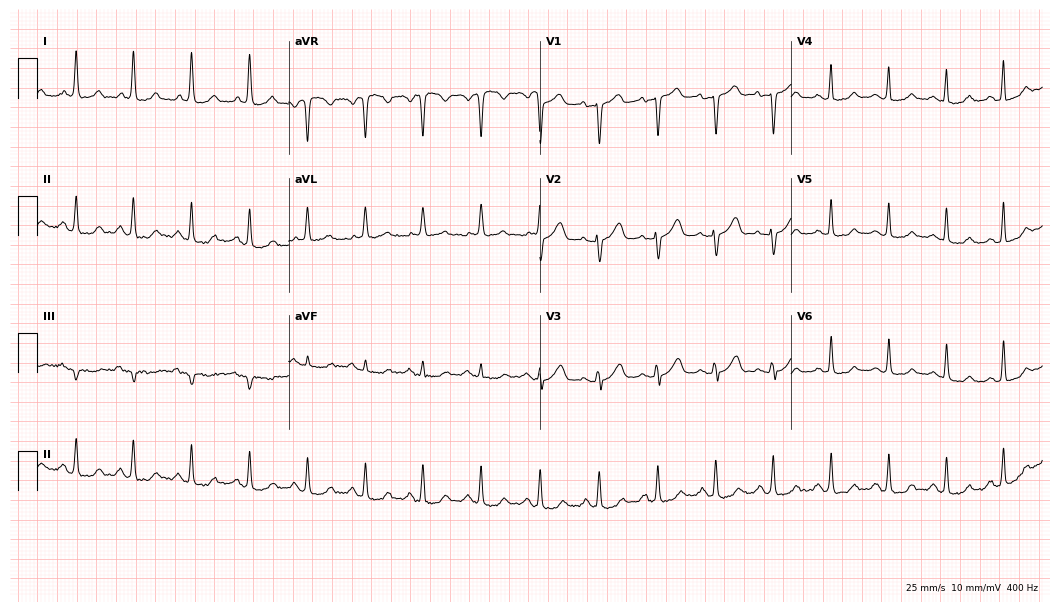
ECG (10.2-second recording at 400 Hz) — a 52-year-old woman. Findings include sinus tachycardia (a sinus rate of 100 beats per minute or more).